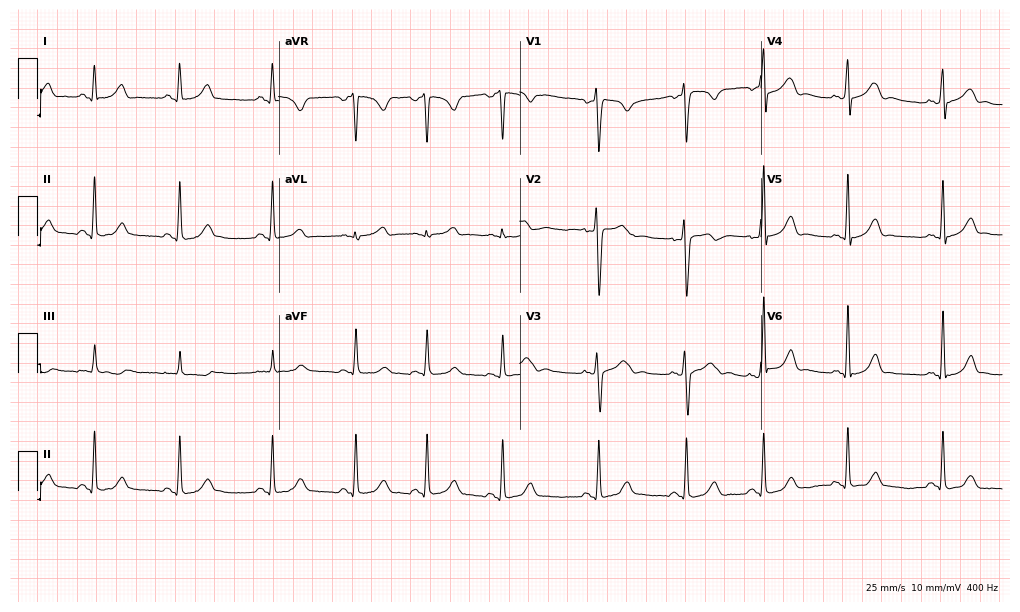
ECG (9.8-second recording at 400 Hz) — a 19-year-old woman. Labelled as a normal ECG.